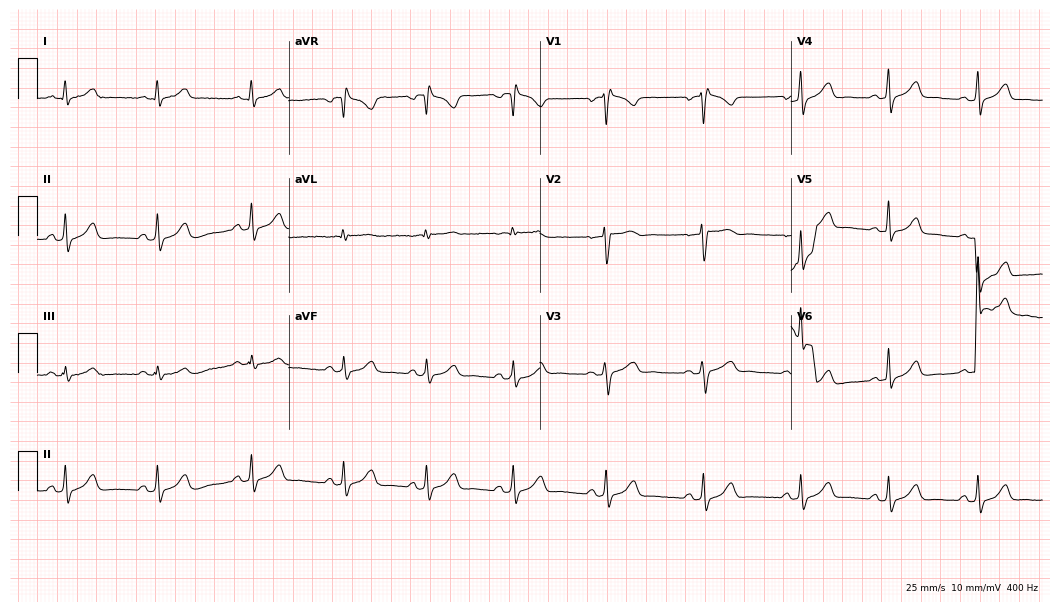
Standard 12-lead ECG recorded from a female patient, 39 years old. None of these six findings is recorded: first-degree AV block, right bundle branch block (RBBB), left bundle branch block (LBBB), sinus bradycardia, atrial fibrillation (AF), sinus tachycardia.